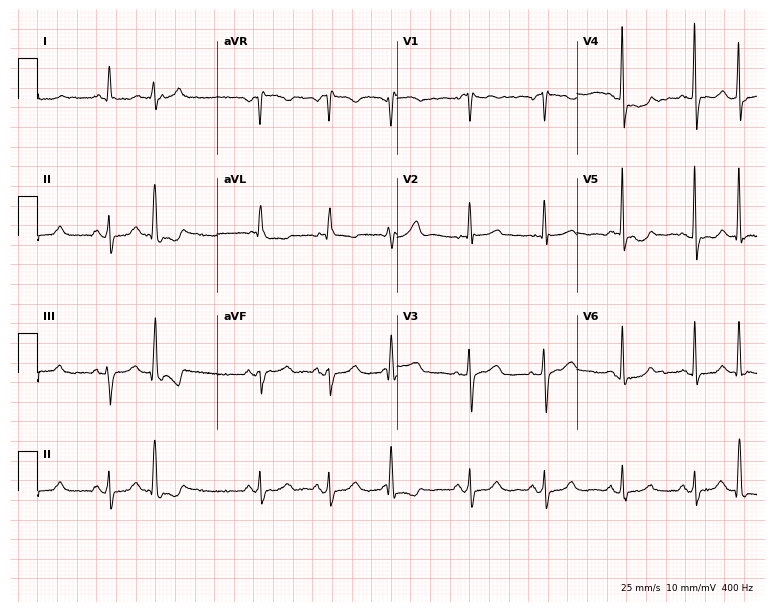
Resting 12-lead electrocardiogram. Patient: a 42-year-old woman. None of these six findings is recorded: first-degree AV block, right bundle branch block, left bundle branch block, sinus bradycardia, atrial fibrillation, sinus tachycardia.